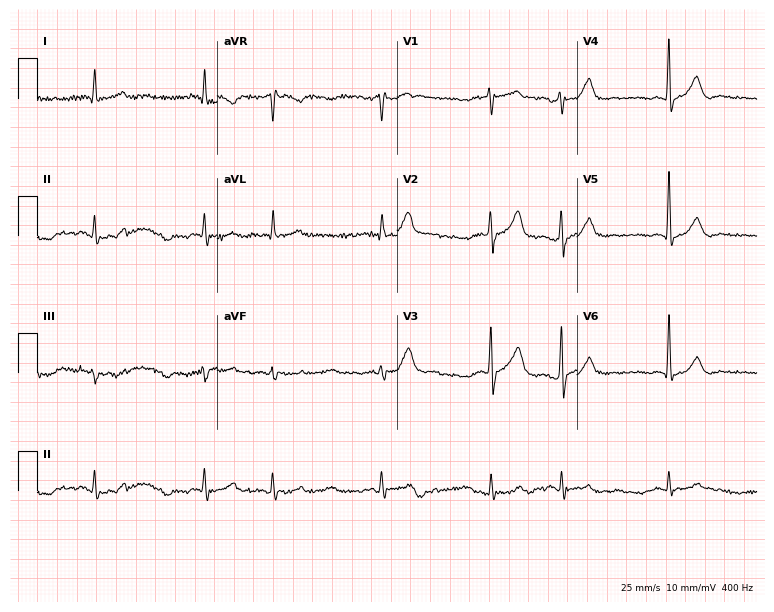
Electrocardiogram, a 59-year-old male. Of the six screened findings (first-degree AV block, right bundle branch block (RBBB), left bundle branch block (LBBB), sinus bradycardia, atrial fibrillation (AF), sinus tachycardia), none is recorded.